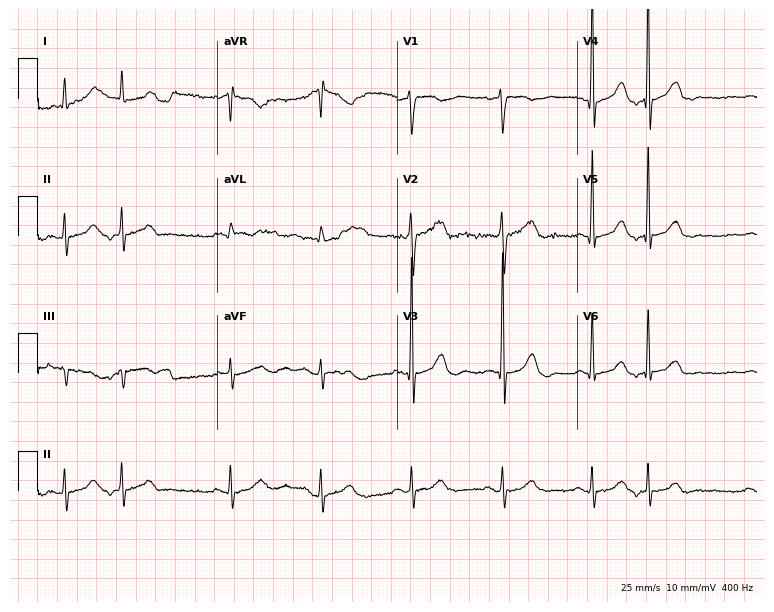
12-lead ECG from a 64-year-old male patient (7.3-second recording at 400 Hz). No first-degree AV block, right bundle branch block, left bundle branch block, sinus bradycardia, atrial fibrillation or sinus tachycardia recorded for this tracing. Findings outside these six are not listed.